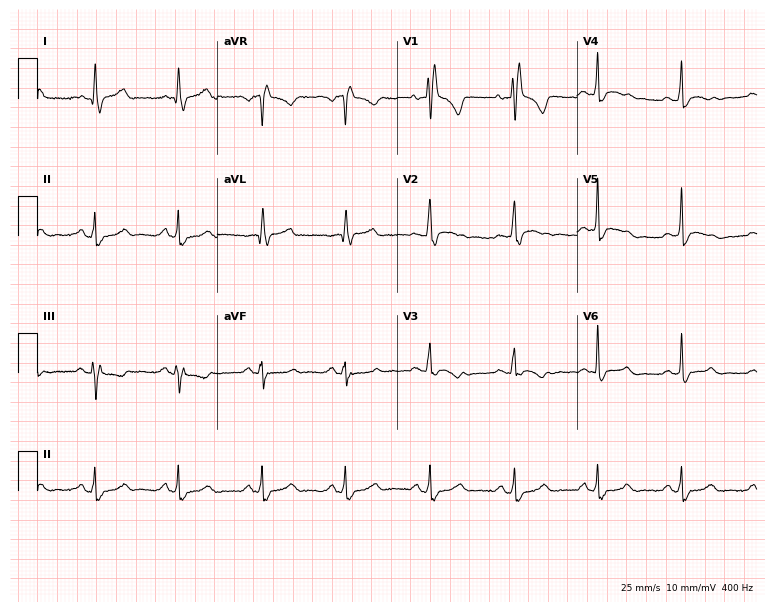
Resting 12-lead electrocardiogram (7.3-second recording at 400 Hz). Patient: a female, 60 years old. The tracing shows right bundle branch block (RBBB).